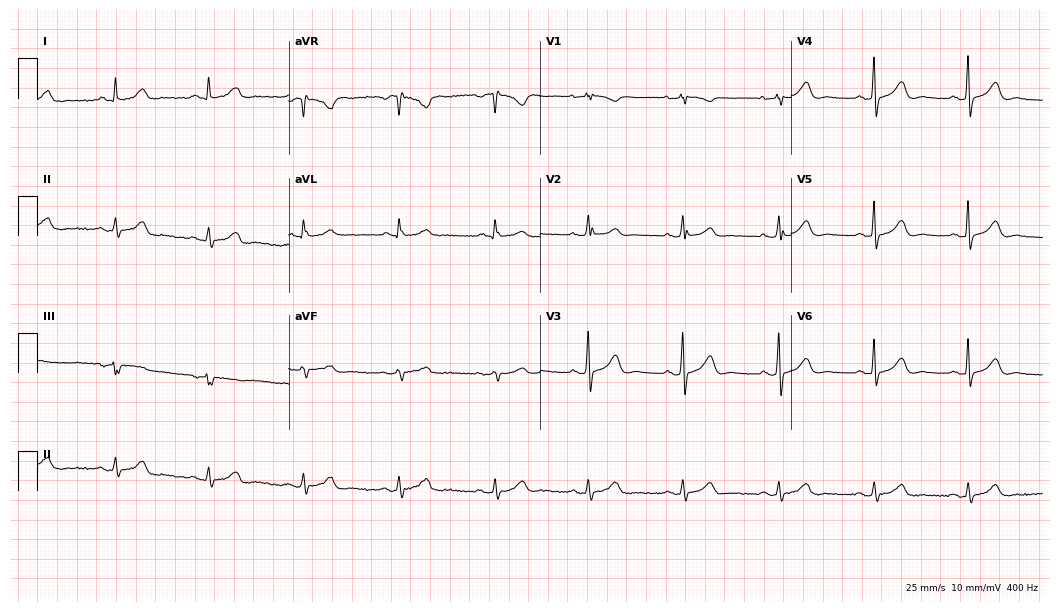
12-lead ECG from a 62-year-old female. Recorded interpretation: within normal limits.